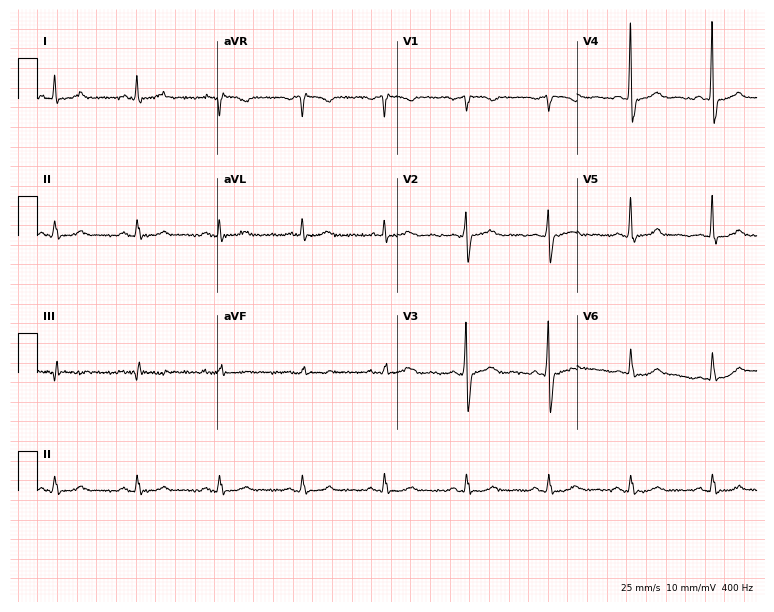
Electrocardiogram, a 64-year-old male. Of the six screened findings (first-degree AV block, right bundle branch block (RBBB), left bundle branch block (LBBB), sinus bradycardia, atrial fibrillation (AF), sinus tachycardia), none is recorded. Only these six findings were labelled.